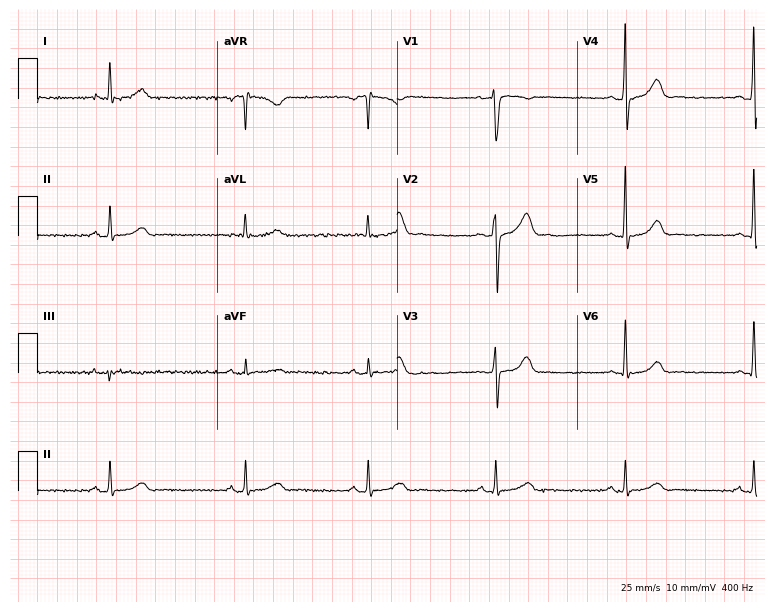
12-lead ECG from a 40-year-old man. Screened for six findings — first-degree AV block, right bundle branch block, left bundle branch block, sinus bradycardia, atrial fibrillation, sinus tachycardia — none is recorded.